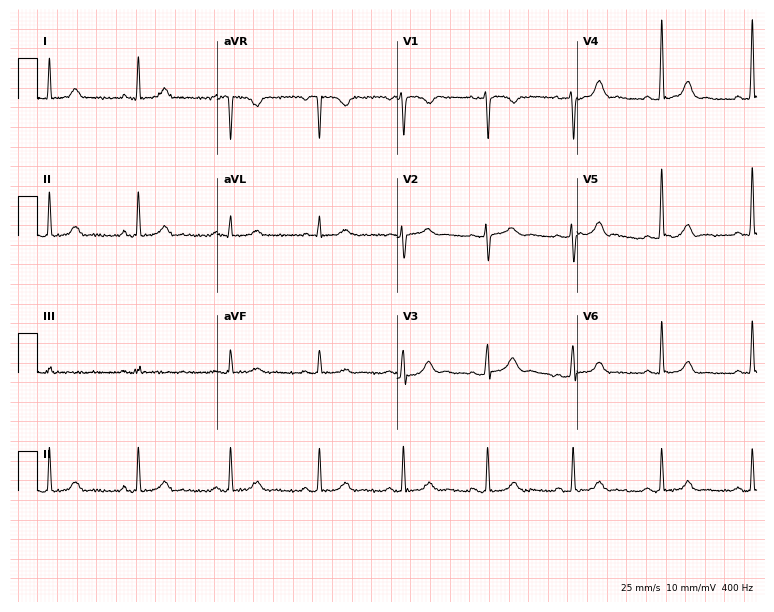
12-lead ECG from a 35-year-old female (7.3-second recording at 400 Hz). No first-degree AV block, right bundle branch block (RBBB), left bundle branch block (LBBB), sinus bradycardia, atrial fibrillation (AF) or sinus tachycardia recorded for this tracing. Other findings, if any, are not listed.